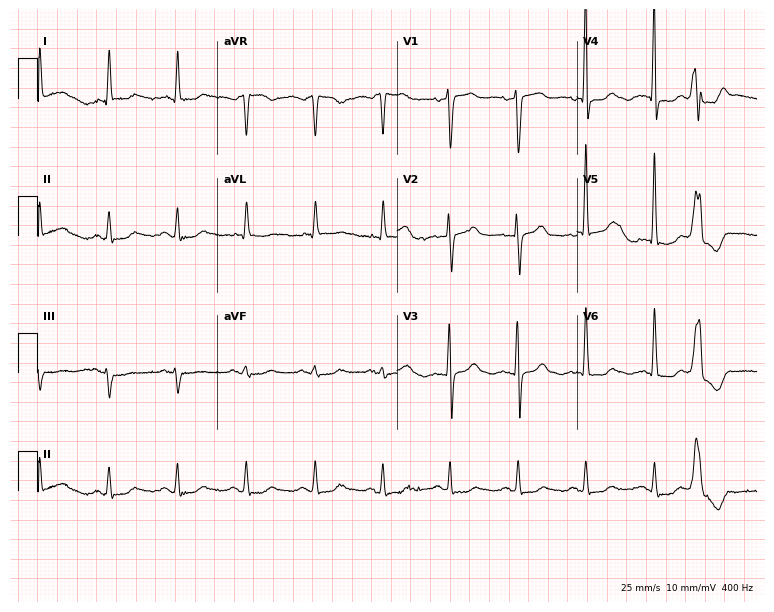
Electrocardiogram (7.3-second recording at 400 Hz), a female, 83 years old. Of the six screened findings (first-degree AV block, right bundle branch block (RBBB), left bundle branch block (LBBB), sinus bradycardia, atrial fibrillation (AF), sinus tachycardia), none is recorded.